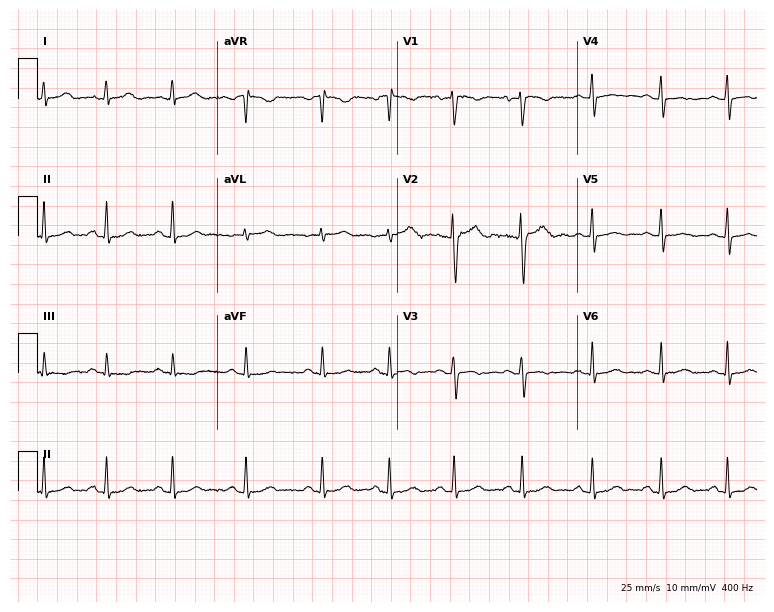
12-lead ECG from a 24-year-old female (7.3-second recording at 400 Hz). Recorded interpretation: within normal limits.